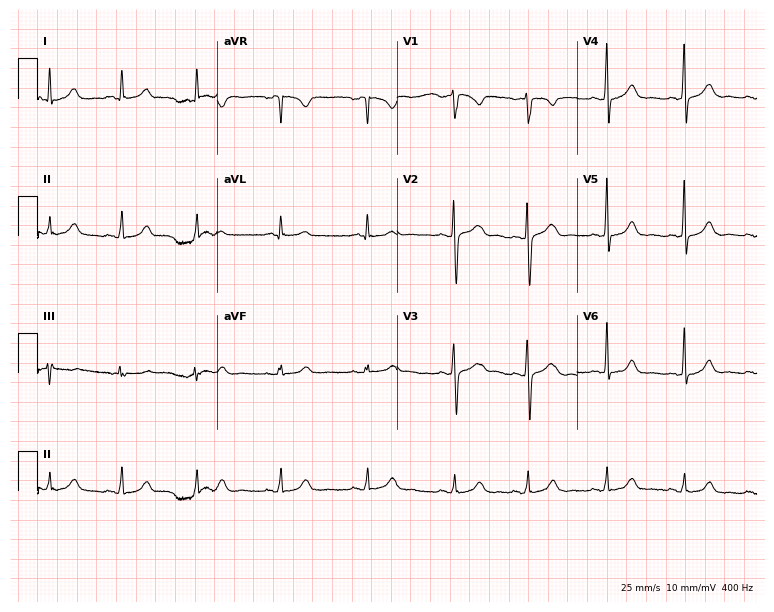
ECG (7.3-second recording at 400 Hz) — a 33-year-old female. Labelled as a normal ECG.